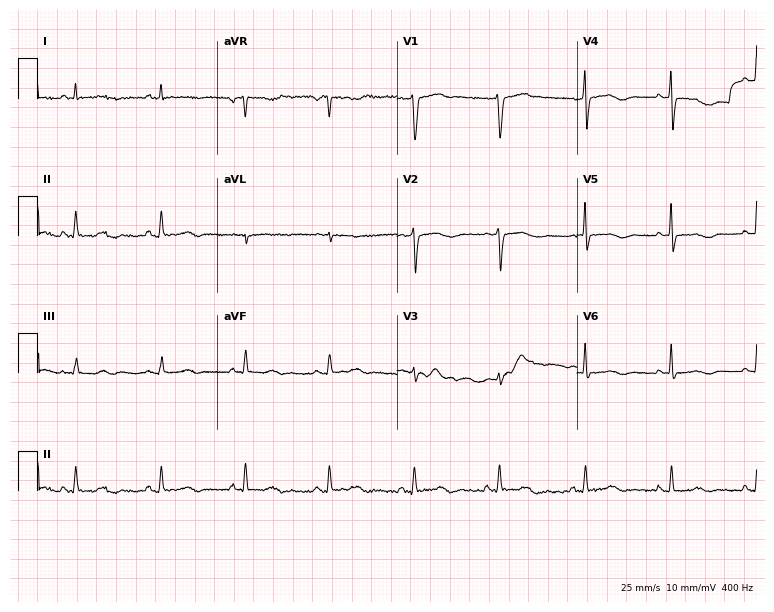
ECG (7.3-second recording at 400 Hz) — a 70-year-old man. Screened for six findings — first-degree AV block, right bundle branch block (RBBB), left bundle branch block (LBBB), sinus bradycardia, atrial fibrillation (AF), sinus tachycardia — none is recorded.